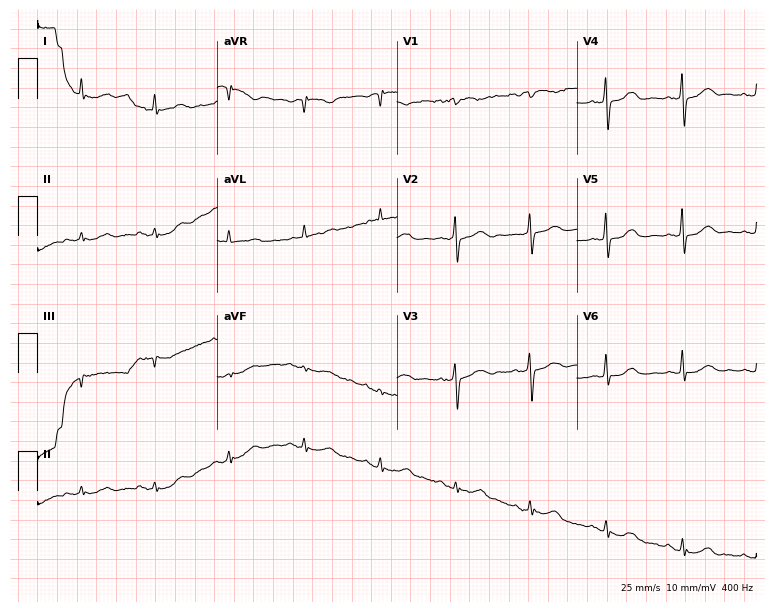
ECG (7.3-second recording at 400 Hz) — an 81-year-old female patient. Screened for six findings — first-degree AV block, right bundle branch block (RBBB), left bundle branch block (LBBB), sinus bradycardia, atrial fibrillation (AF), sinus tachycardia — none is recorded. Other findings, if any, are not listed.